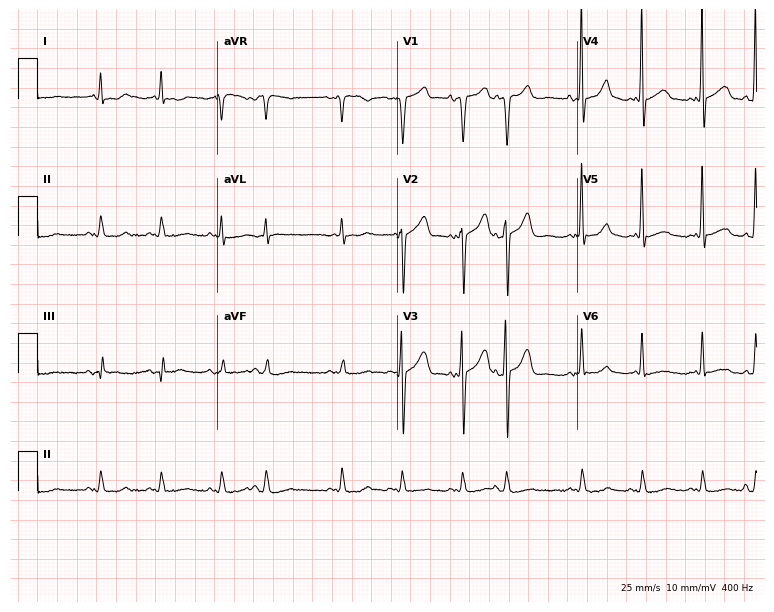
12-lead ECG from an 81-year-old male patient. Screened for six findings — first-degree AV block, right bundle branch block (RBBB), left bundle branch block (LBBB), sinus bradycardia, atrial fibrillation (AF), sinus tachycardia — none is recorded. Only these six findings were labelled.